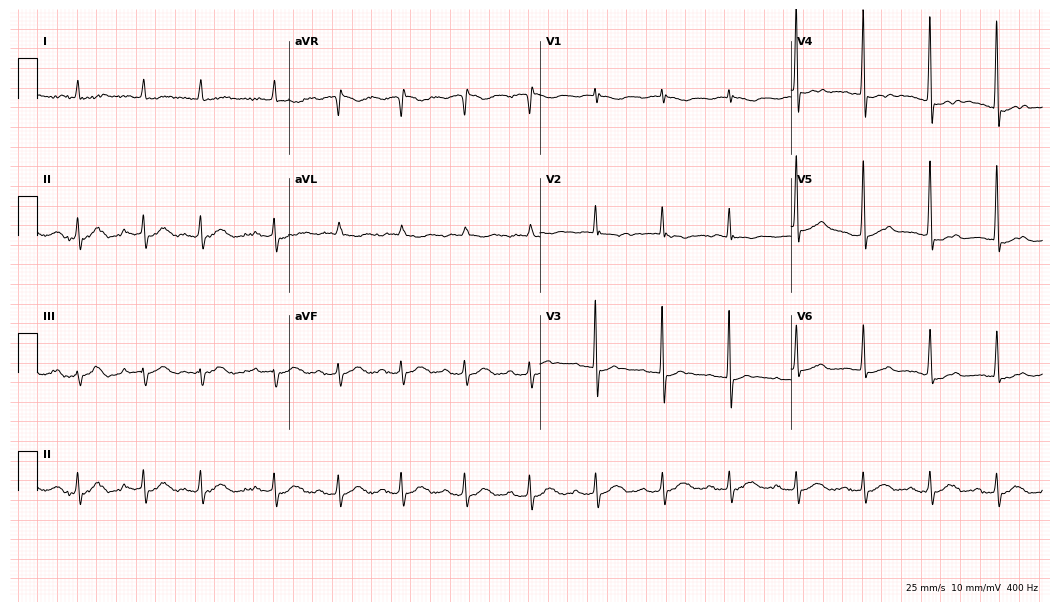
ECG — a female patient, 83 years old. Screened for six findings — first-degree AV block, right bundle branch block, left bundle branch block, sinus bradycardia, atrial fibrillation, sinus tachycardia — none is recorded.